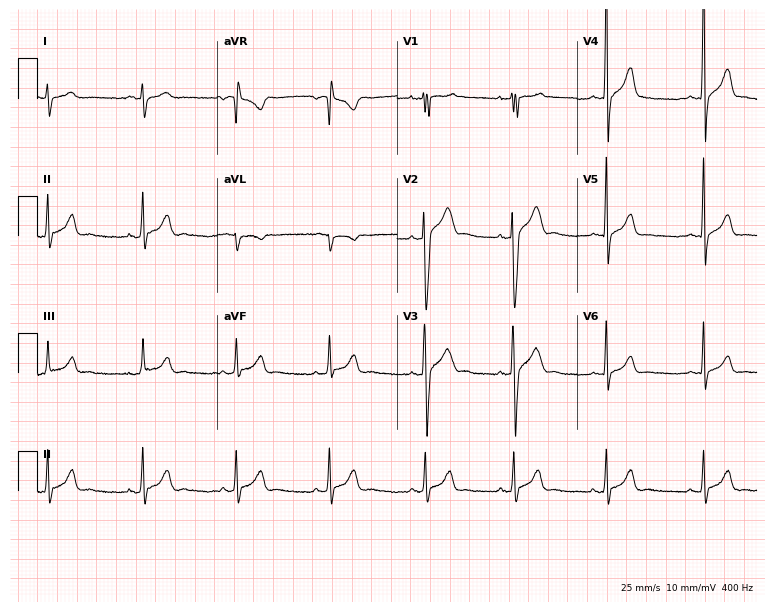
Standard 12-lead ECG recorded from a male, 17 years old. None of these six findings is recorded: first-degree AV block, right bundle branch block, left bundle branch block, sinus bradycardia, atrial fibrillation, sinus tachycardia.